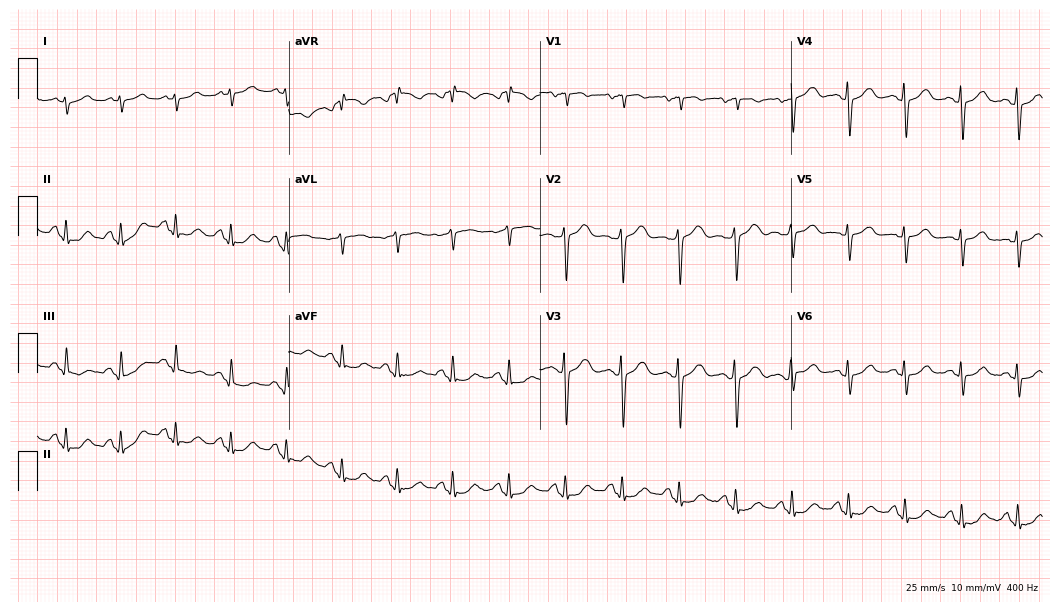
12-lead ECG (10.2-second recording at 400 Hz) from a 45-year-old female patient. Findings include sinus tachycardia (a sinus rate of 100 beats per minute or more).